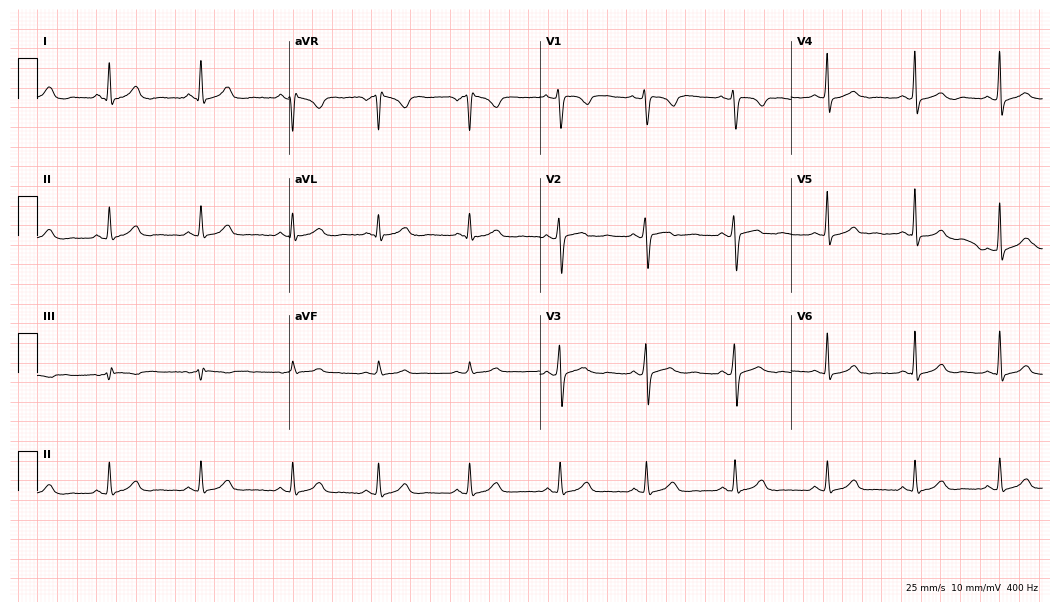
12-lead ECG from a 22-year-old woman. Screened for six findings — first-degree AV block, right bundle branch block, left bundle branch block, sinus bradycardia, atrial fibrillation, sinus tachycardia — none is recorded.